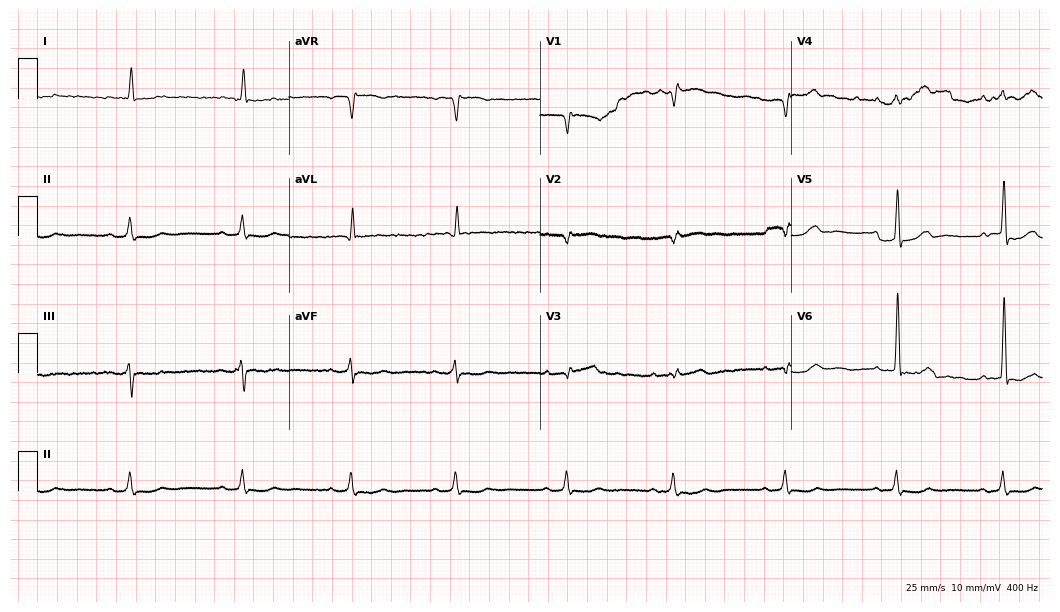
Resting 12-lead electrocardiogram (10.2-second recording at 400 Hz). Patient: an 80-year-old male. None of these six findings is recorded: first-degree AV block, right bundle branch block, left bundle branch block, sinus bradycardia, atrial fibrillation, sinus tachycardia. Other findings, if any, are not listed.